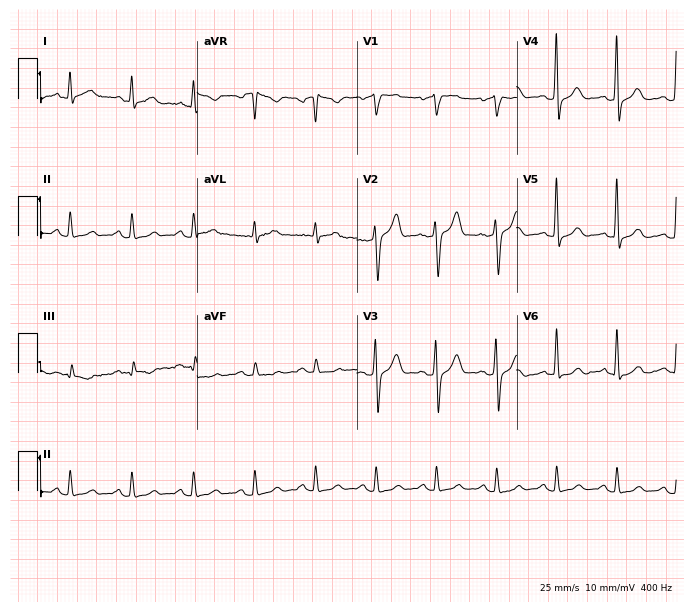
ECG (6.5-second recording at 400 Hz) — a 62-year-old male. Screened for six findings — first-degree AV block, right bundle branch block (RBBB), left bundle branch block (LBBB), sinus bradycardia, atrial fibrillation (AF), sinus tachycardia — none is recorded. Only these six findings were labelled.